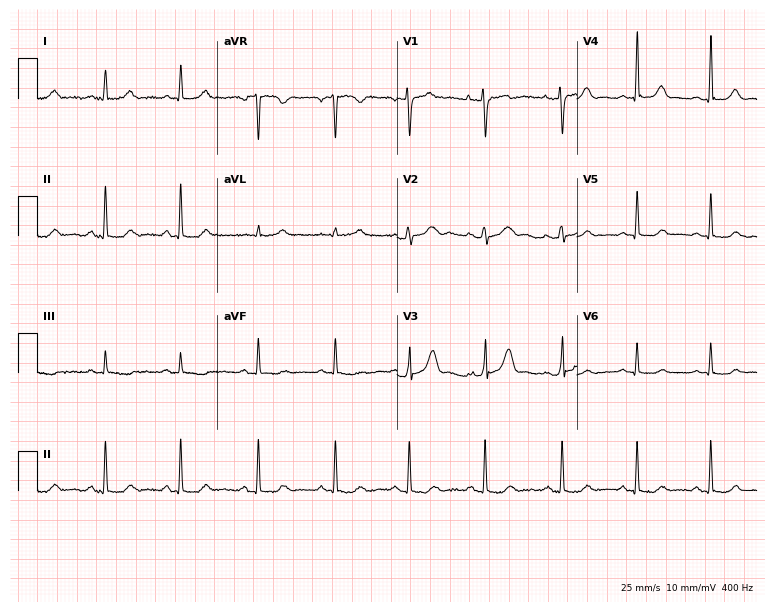
Resting 12-lead electrocardiogram. Patient: a 44-year-old female. Read as a normal ECG.